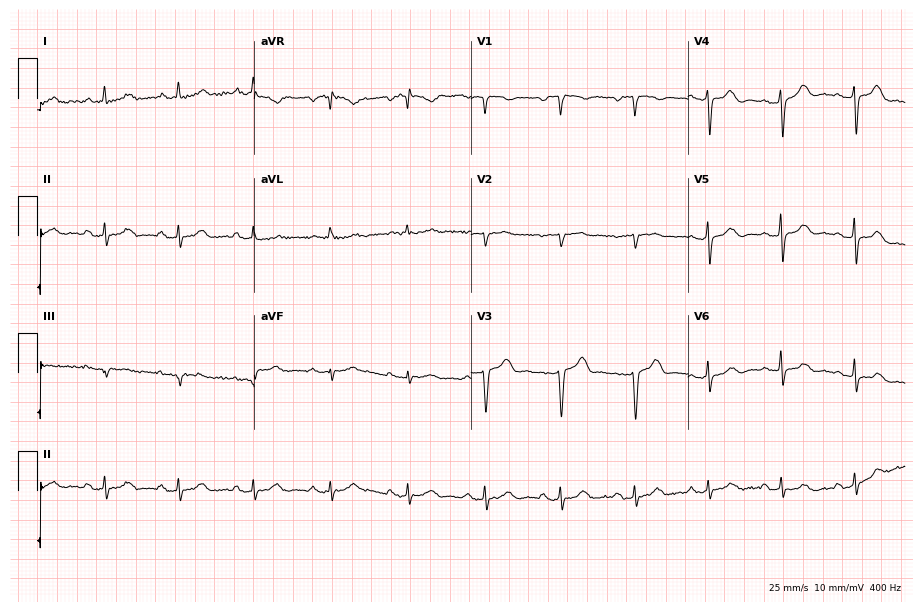
Resting 12-lead electrocardiogram. Patient: a female, 72 years old. None of these six findings is recorded: first-degree AV block, right bundle branch block (RBBB), left bundle branch block (LBBB), sinus bradycardia, atrial fibrillation (AF), sinus tachycardia.